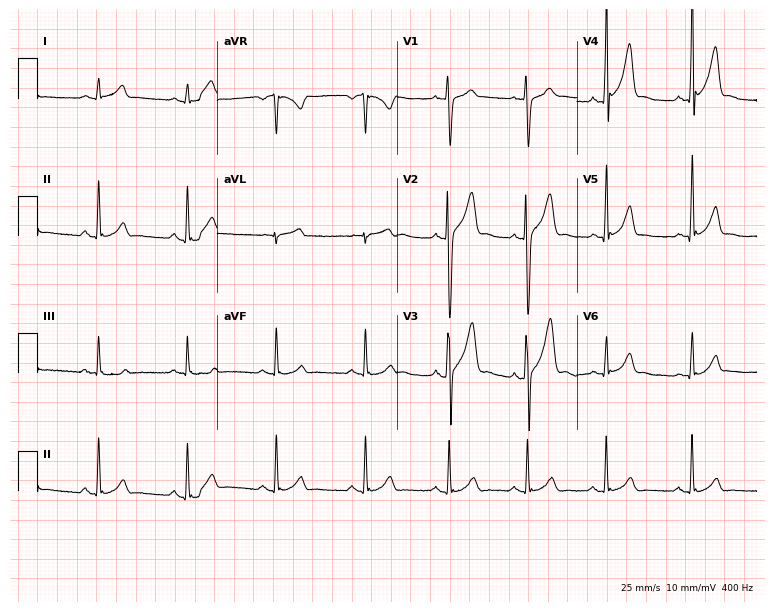
12-lead ECG from a male patient, 19 years old. Screened for six findings — first-degree AV block, right bundle branch block, left bundle branch block, sinus bradycardia, atrial fibrillation, sinus tachycardia — none is recorded.